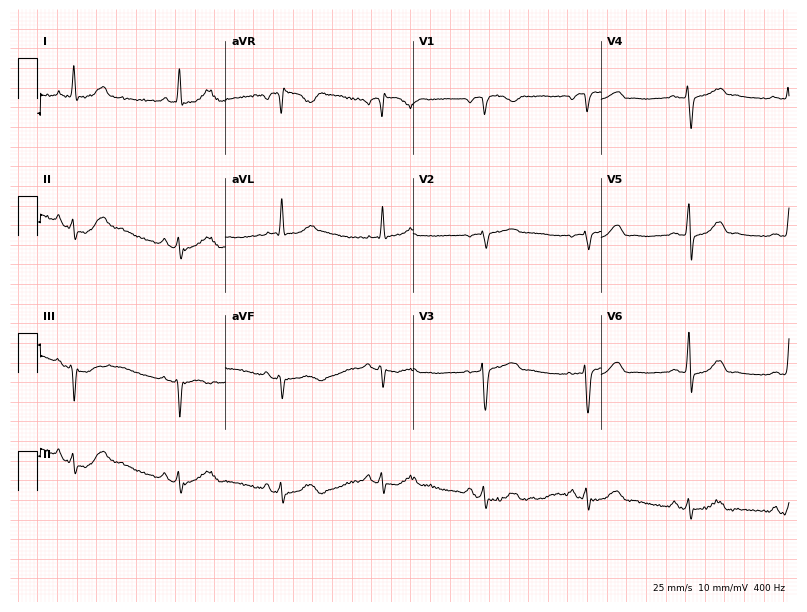
ECG (7.7-second recording at 400 Hz) — a 53-year-old woman. Labelled as a normal ECG.